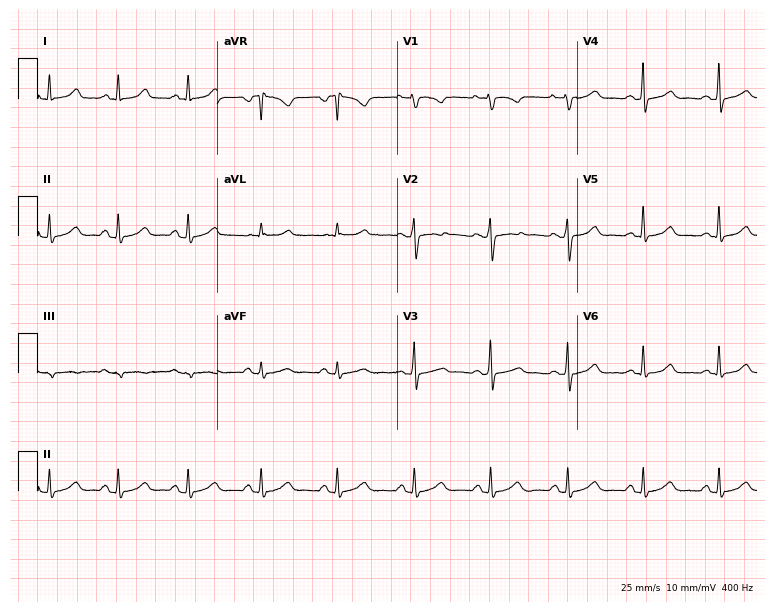
Resting 12-lead electrocardiogram. Patient: a female, 28 years old. Read as a normal ECG.